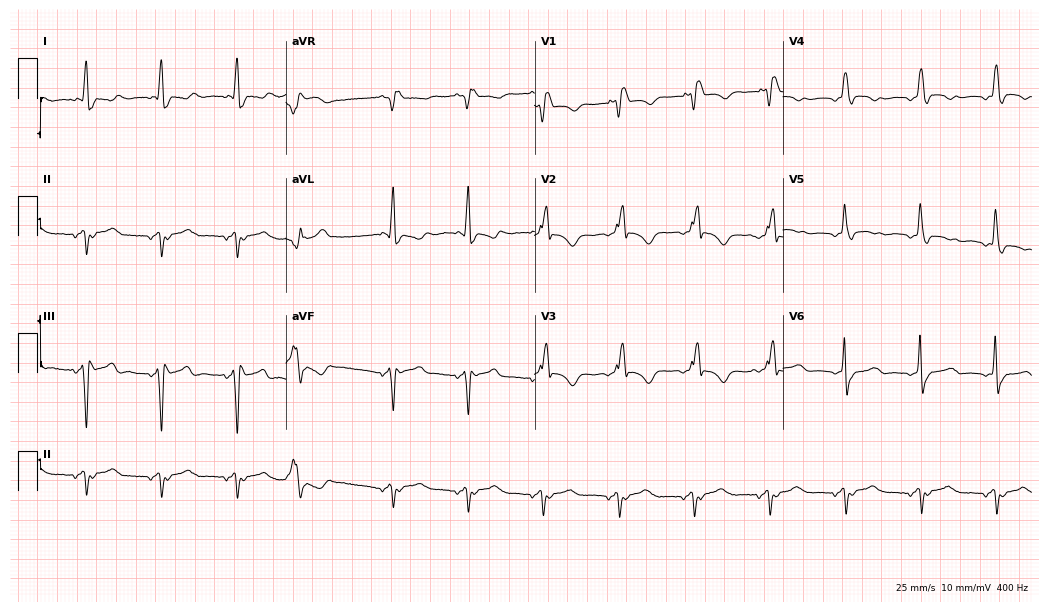
Resting 12-lead electrocardiogram (10.1-second recording at 400 Hz). Patient: a 61-year-old woman. The tracing shows right bundle branch block.